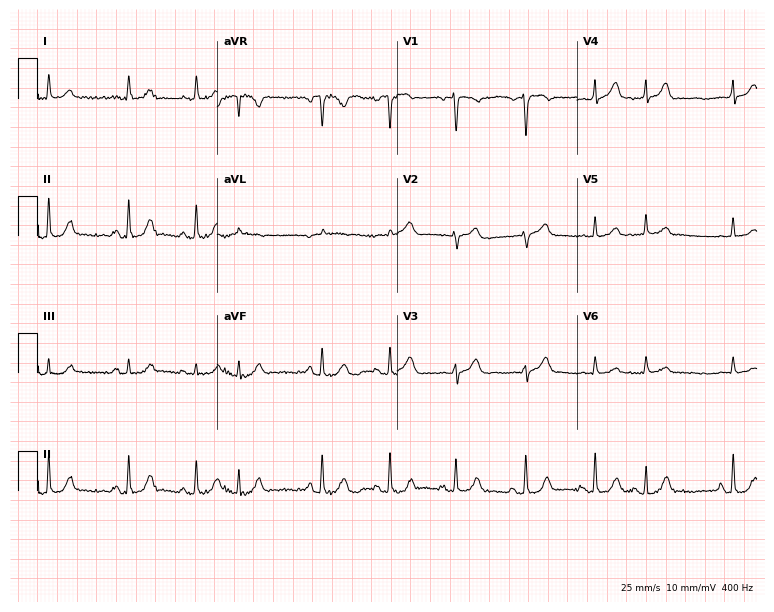
Electrocardiogram, an 83-year-old male. Of the six screened findings (first-degree AV block, right bundle branch block (RBBB), left bundle branch block (LBBB), sinus bradycardia, atrial fibrillation (AF), sinus tachycardia), none is recorded.